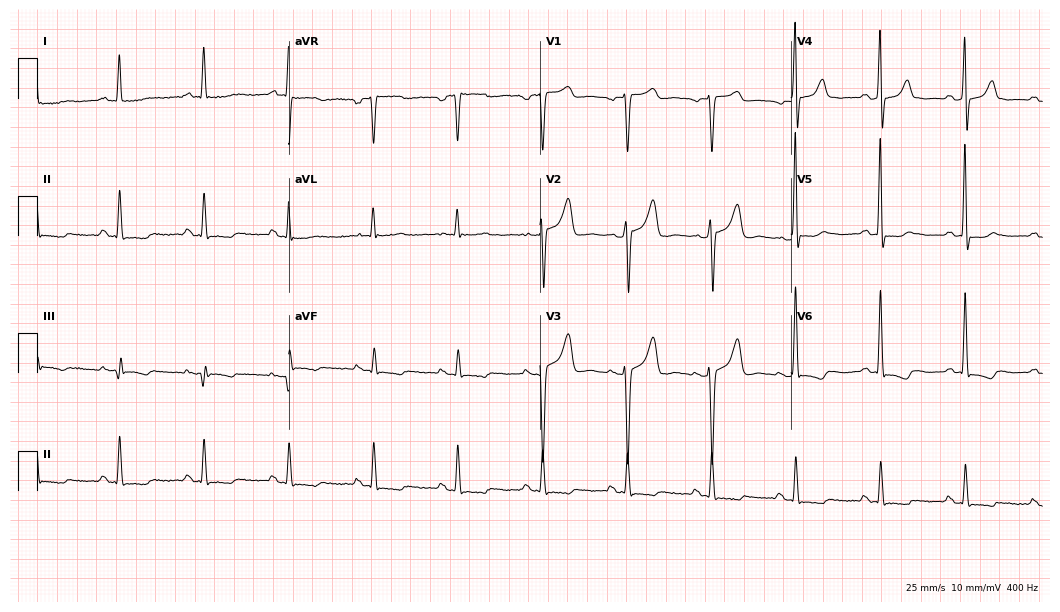
Resting 12-lead electrocardiogram (10.2-second recording at 400 Hz). Patient: a 68-year-old woman. None of these six findings is recorded: first-degree AV block, right bundle branch block, left bundle branch block, sinus bradycardia, atrial fibrillation, sinus tachycardia.